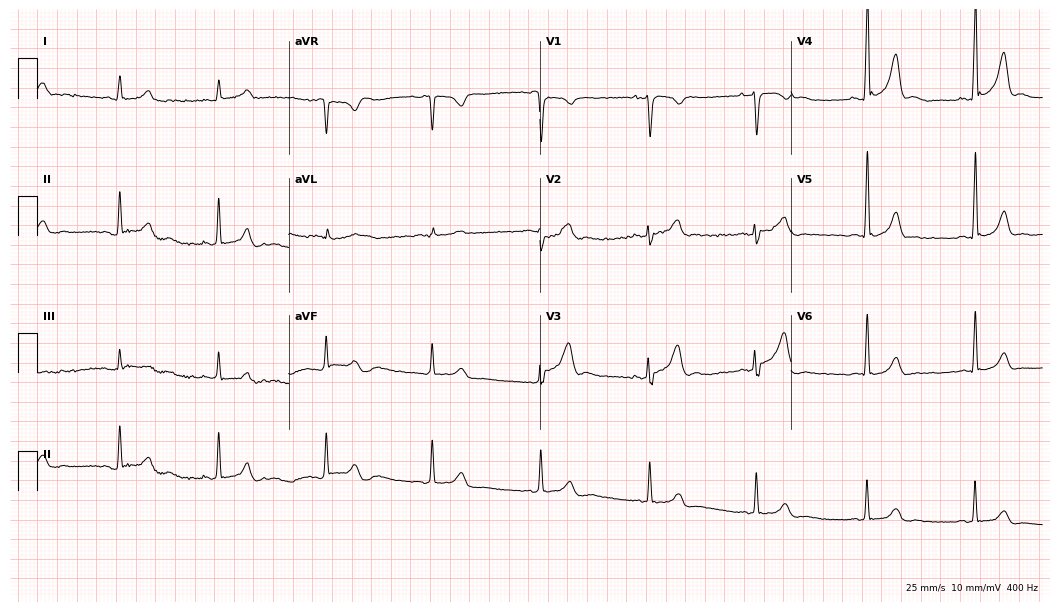
Electrocardiogram (10.2-second recording at 400 Hz), a man, 43 years old. Overall reading on record: normal ECG.